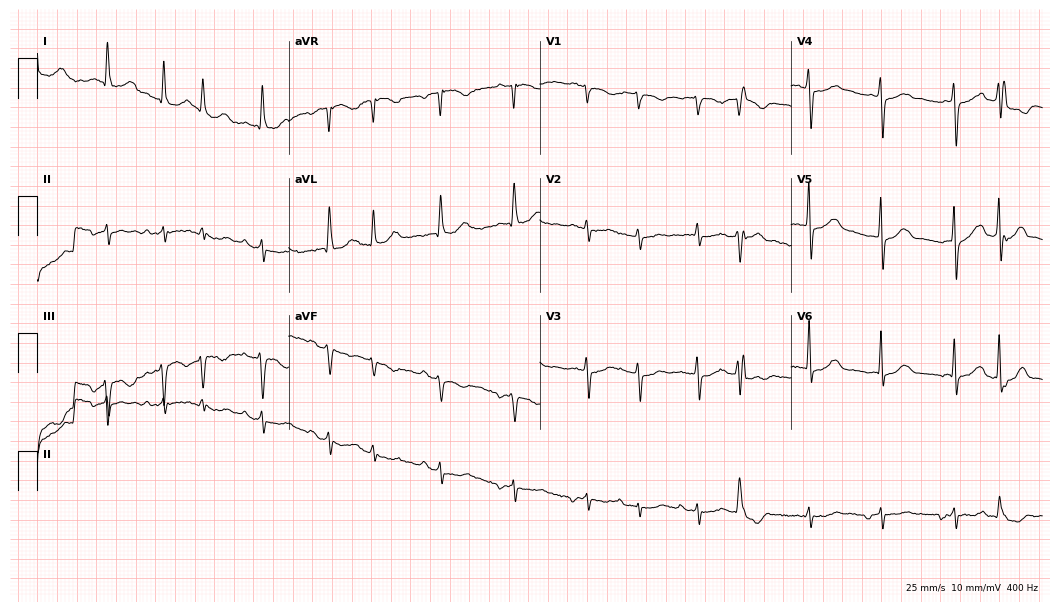
Electrocardiogram, a female patient, 79 years old. Of the six screened findings (first-degree AV block, right bundle branch block (RBBB), left bundle branch block (LBBB), sinus bradycardia, atrial fibrillation (AF), sinus tachycardia), none is recorded. Findings outside these six are not listed.